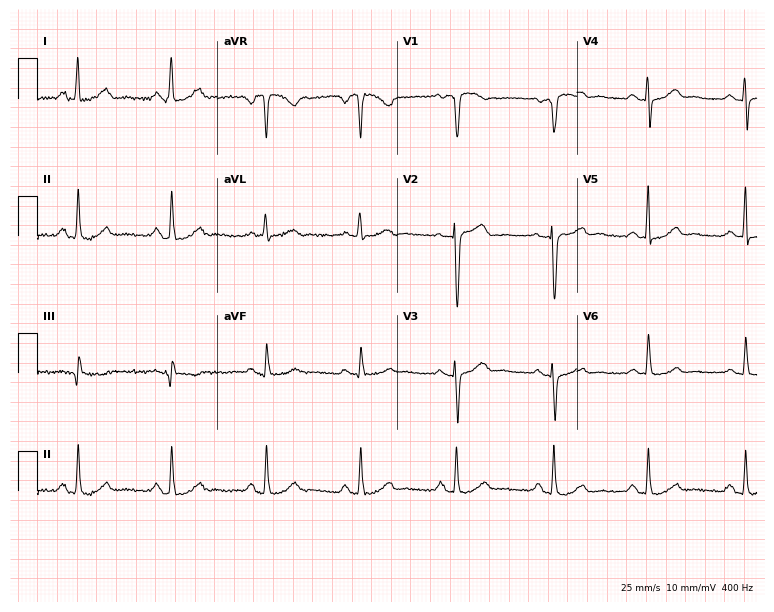
Standard 12-lead ECG recorded from a female patient, 62 years old. None of these six findings is recorded: first-degree AV block, right bundle branch block, left bundle branch block, sinus bradycardia, atrial fibrillation, sinus tachycardia.